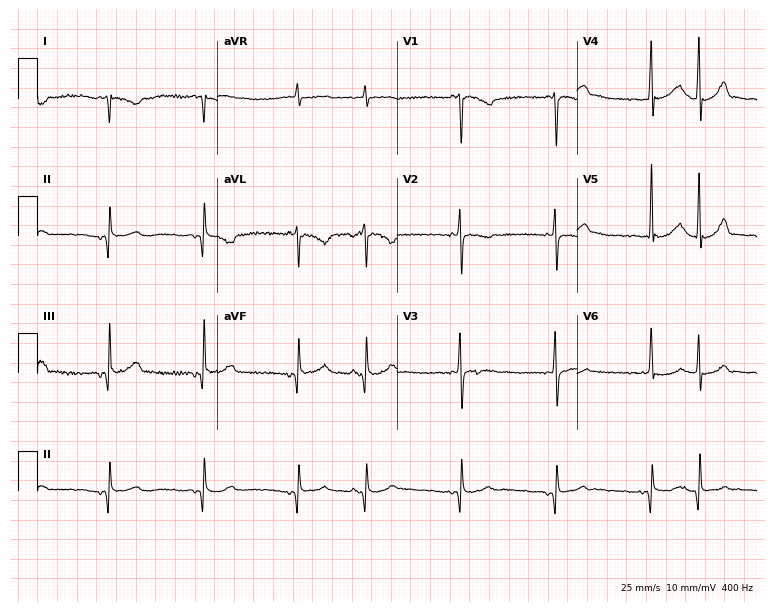
12-lead ECG from a 67-year-old male. Screened for six findings — first-degree AV block, right bundle branch block, left bundle branch block, sinus bradycardia, atrial fibrillation, sinus tachycardia — none is recorded. Only these six findings were labelled.